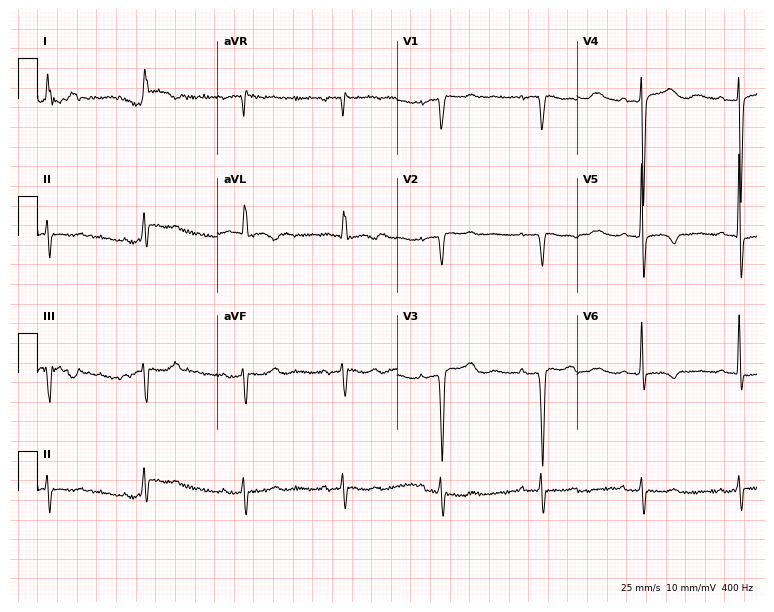
Resting 12-lead electrocardiogram. Patient: an 80-year-old female. None of these six findings is recorded: first-degree AV block, right bundle branch block, left bundle branch block, sinus bradycardia, atrial fibrillation, sinus tachycardia.